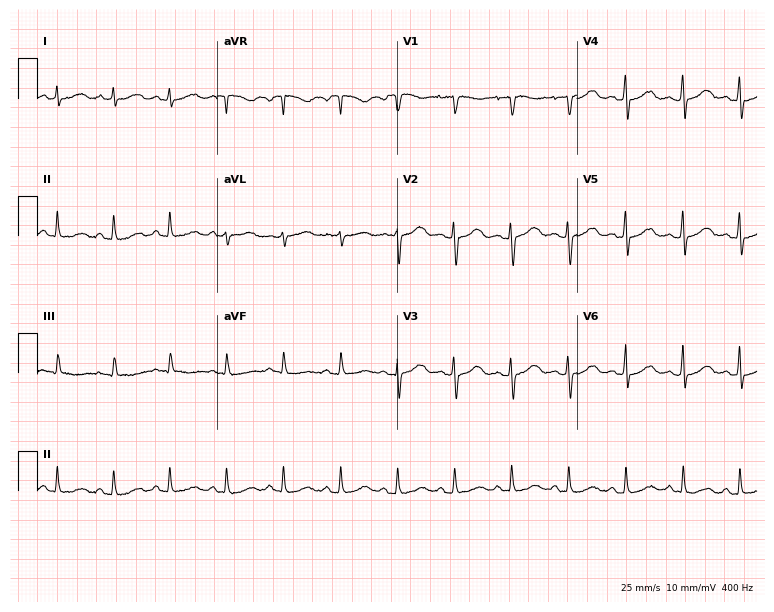
ECG — a 43-year-old female patient. Findings include sinus tachycardia (a sinus rate of 100 beats per minute or more).